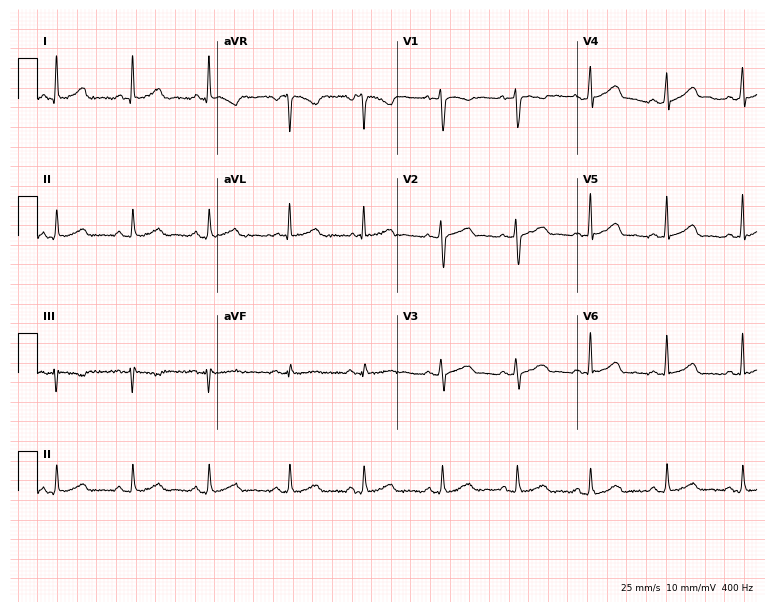
12-lead ECG from a 36-year-old woman (7.3-second recording at 400 Hz). Recorded interpretation: within normal limits.